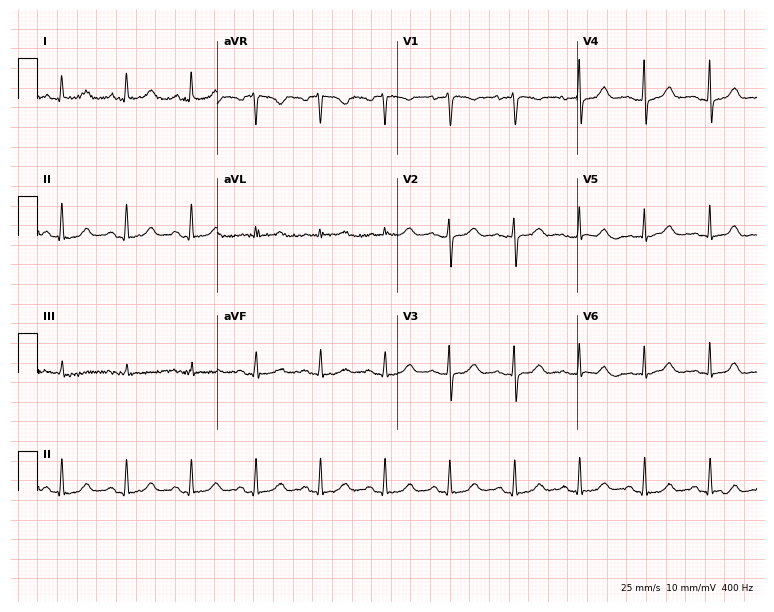
Electrocardiogram, a 59-year-old female. Of the six screened findings (first-degree AV block, right bundle branch block, left bundle branch block, sinus bradycardia, atrial fibrillation, sinus tachycardia), none is recorded. Only these six findings were labelled.